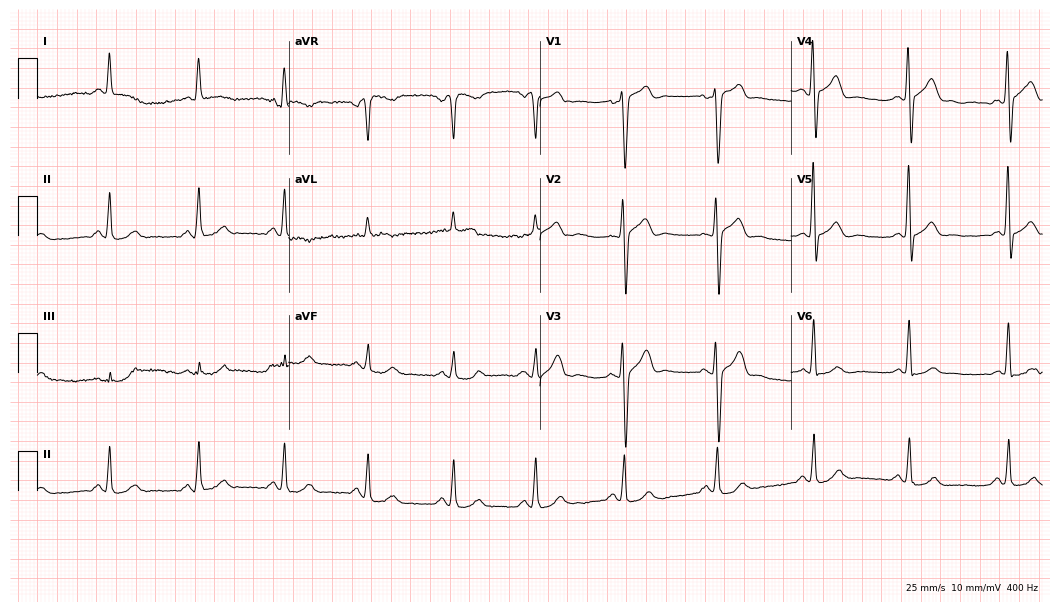
Electrocardiogram (10.2-second recording at 400 Hz), a 73-year-old male patient. Overall reading on record: normal ECG.